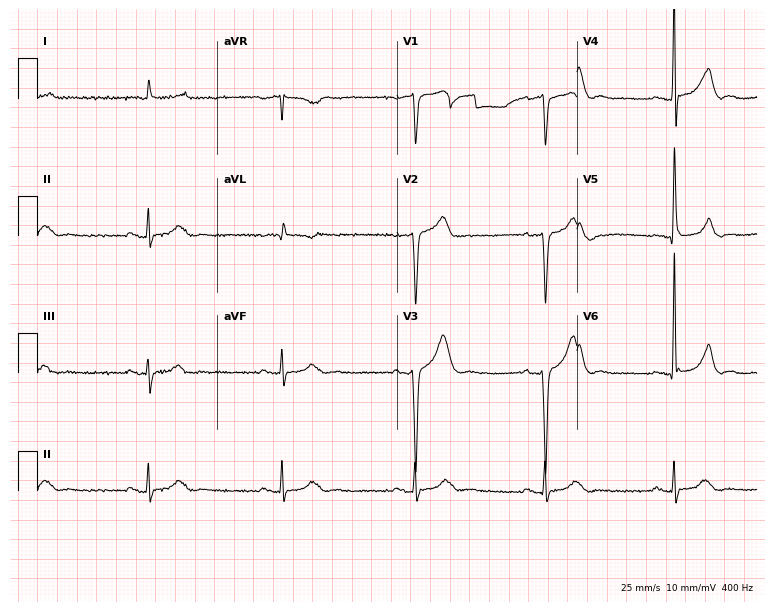
Standard 12-lead ECG recorded from a 78-year-old male patient (7.3-second recording at 400 Hz). None of these six findings is recorded: first-degree AV block, right bundle branch block, left bundle branch block, sinus bradycardia, atrial fibrillation, sinus tachycardia. Only these six findings were labelled.